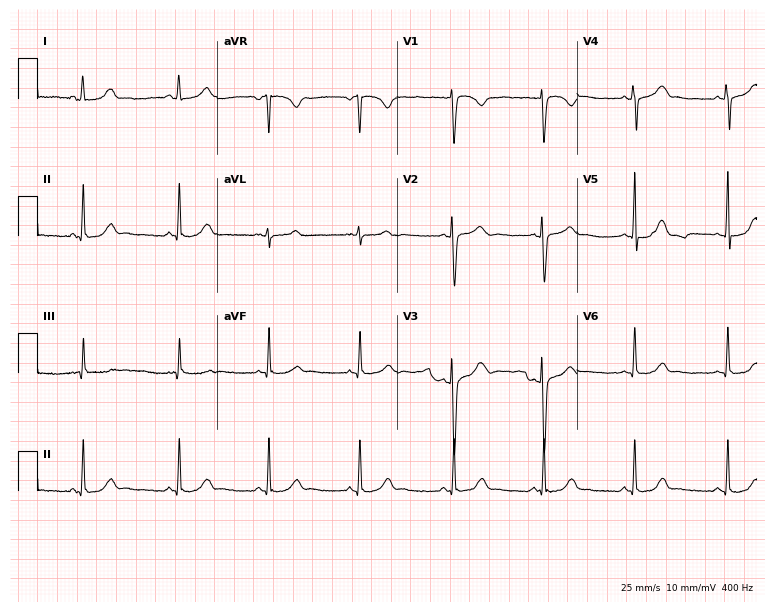
ECG (7.3-second recording at 400 Hz) — an 18-year-old female. Screened for six findings — first-degree AV block, right bundle branch block (RBBB), left bundle branch block (LBBB), sinus bradycardia, atrial fibrillation (AF), sinus tachycardia — none is recorded.